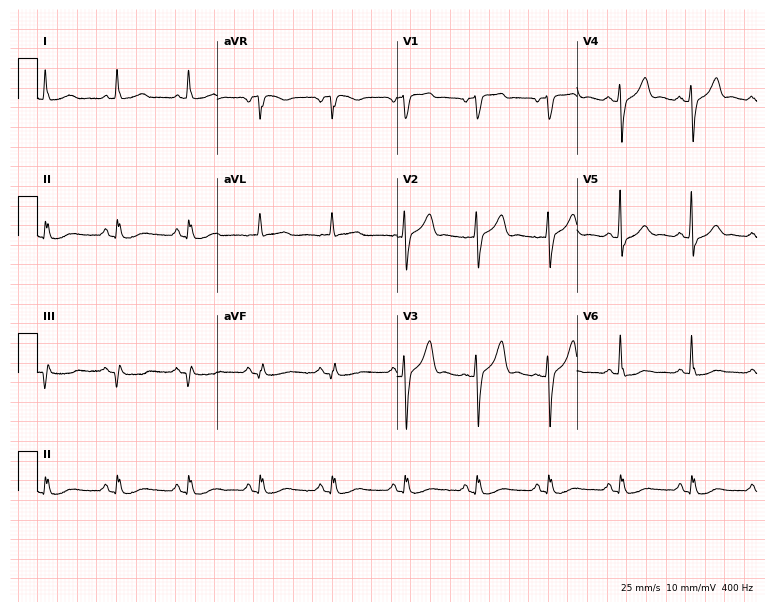
Standard 12-lead ECG recorded from a 72-year-old male patient. None of these six findings is recorded: first-degree AV block, right bundle branch block, left bundle branch block, sinus bradycardia, atrial fibrillation, sinus tachycardia.